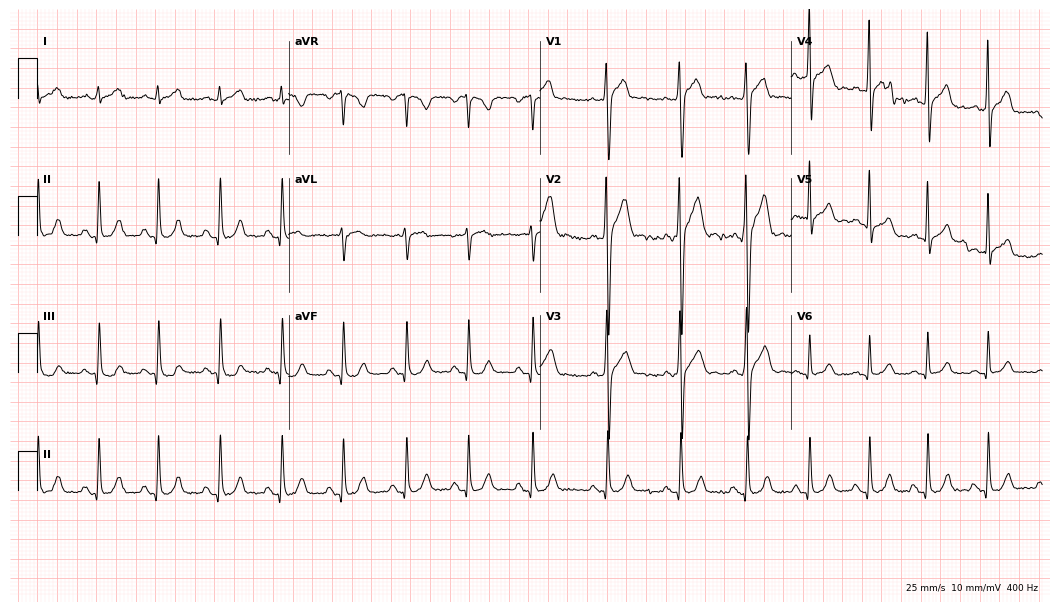
ECG — a 31-year-old male. Labelled as a normal ECG.